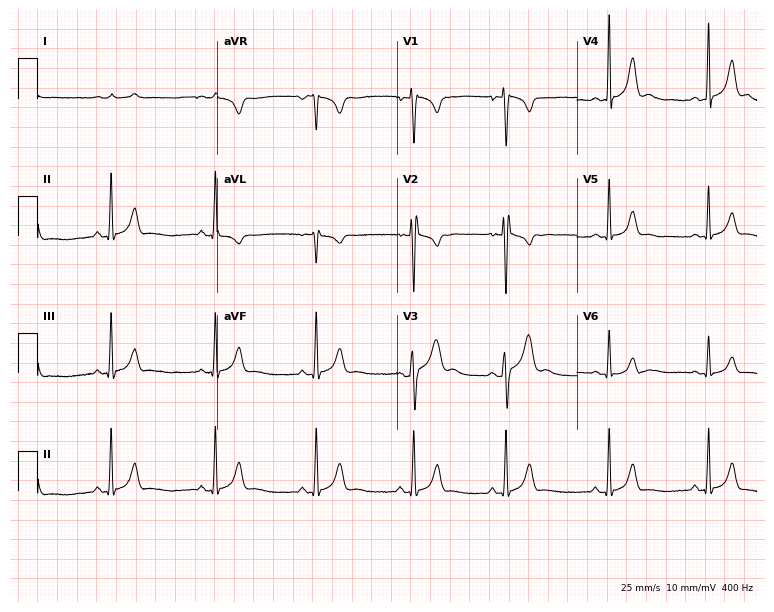
Resting 12-lead electrocardiogram (7.3-second recording at 400 Hz). Patient: an 18-year-old man. Read as a normal ECG.